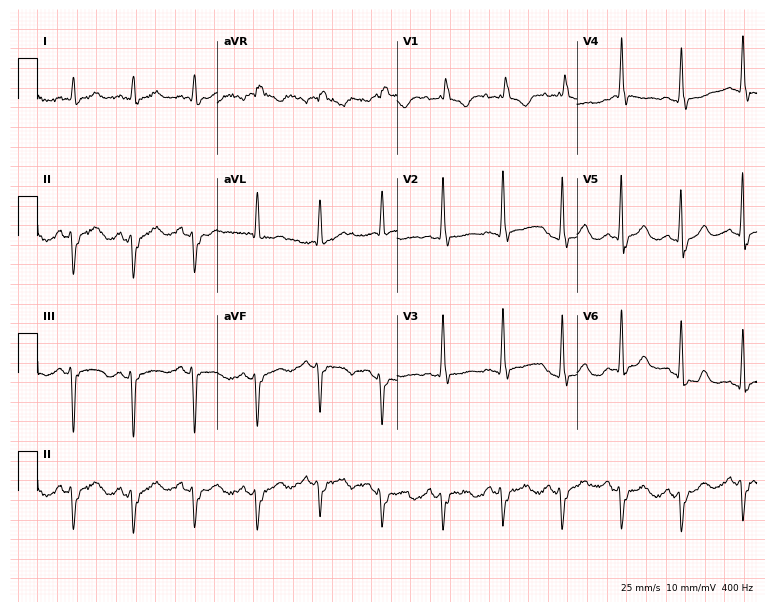
12-lead ECG (7.3-second recording at 400 Hz) from a female patient, 55 years old. Findings include right bundle branch block (RBBB).